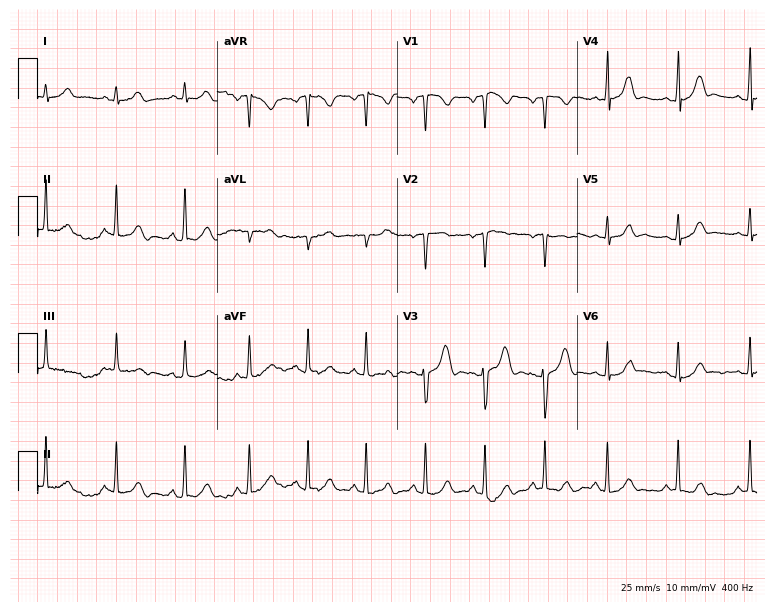
Standard 12-lead ECG recorded from a female, 21 years old (7.3-second recording at 400 Hz). None of these six findings is recorded: first-degree AV block, right bundle branch block, left bundle branch block, sinus bradycardia, atrial fibrillation, sinus tachycardia. Only these six findings were labelled.